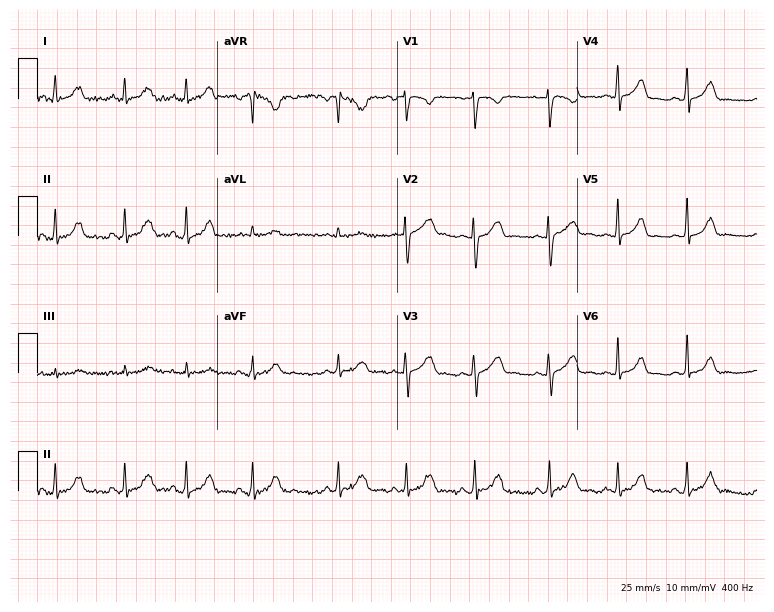
Standard 12-lead ECG recorded from a 19-year-old female patient (7.3-second recording at 400 Hz). Read as a normal ECG.